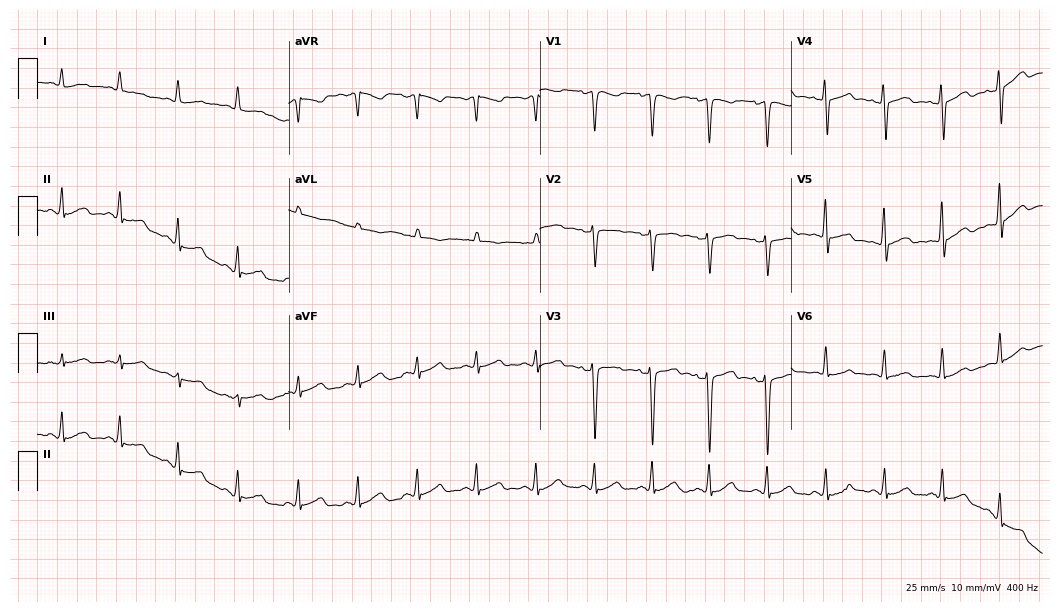
12-lead ECG from a 38-year-old female. Labelled as a normal ECG.